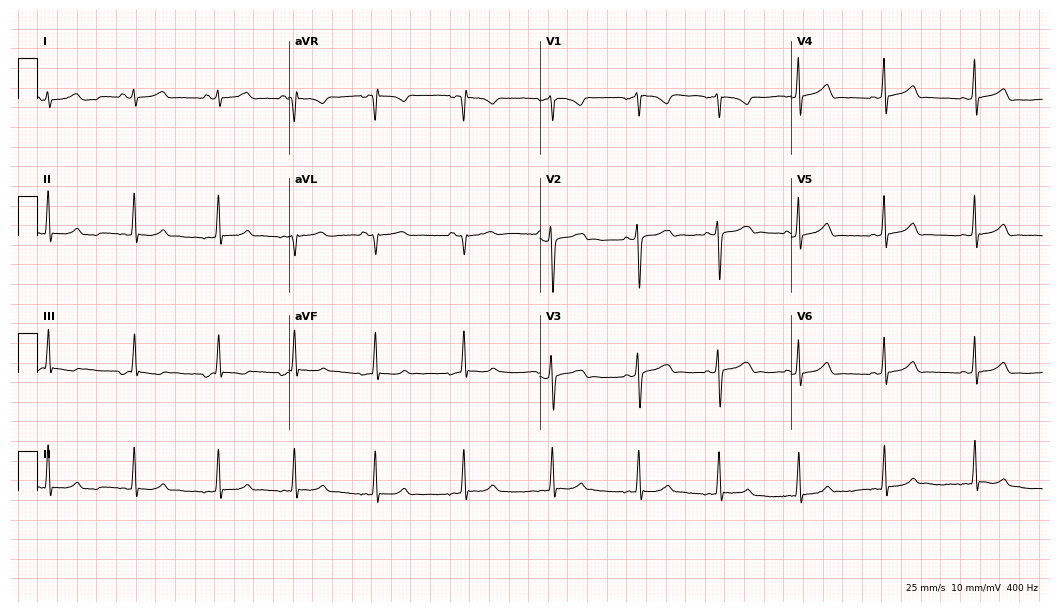
Electrocardiogram (10.2-second recording at 400 Hz), a 19-year-old female patient. Of the six screened findings (first-degree AV block, right bundle branch block, left bundle branch block, sinus bradycardia, atrial fibrillation, sinus tachycardia), none is recorded. Other findings, if any, are not listed.